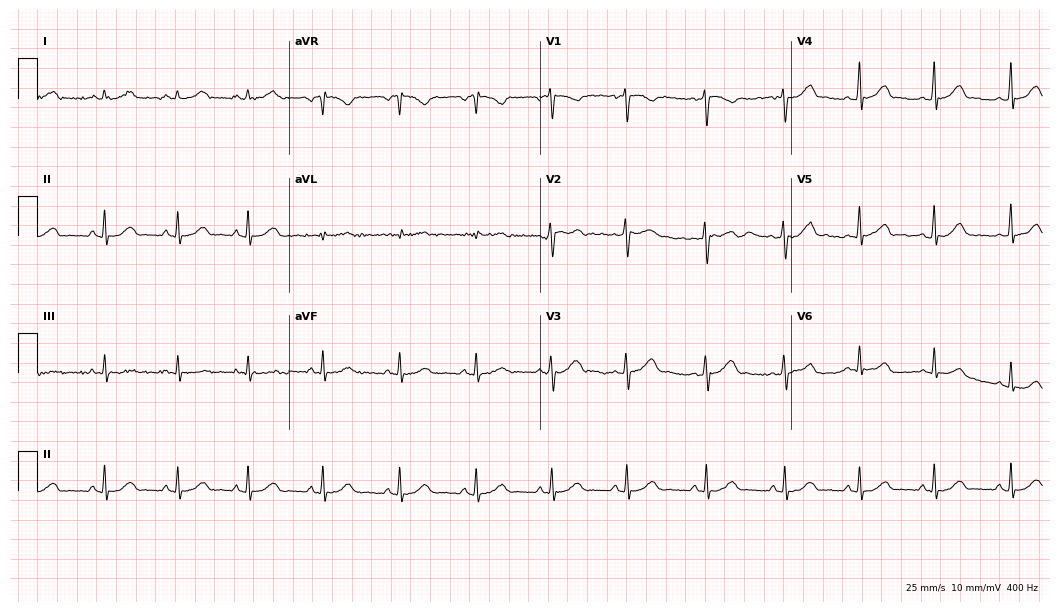
Standard 12-lead ECG recorded from a 24-year-old woman (10.2-second recording at 400 Hz). Read as a normal ECG.